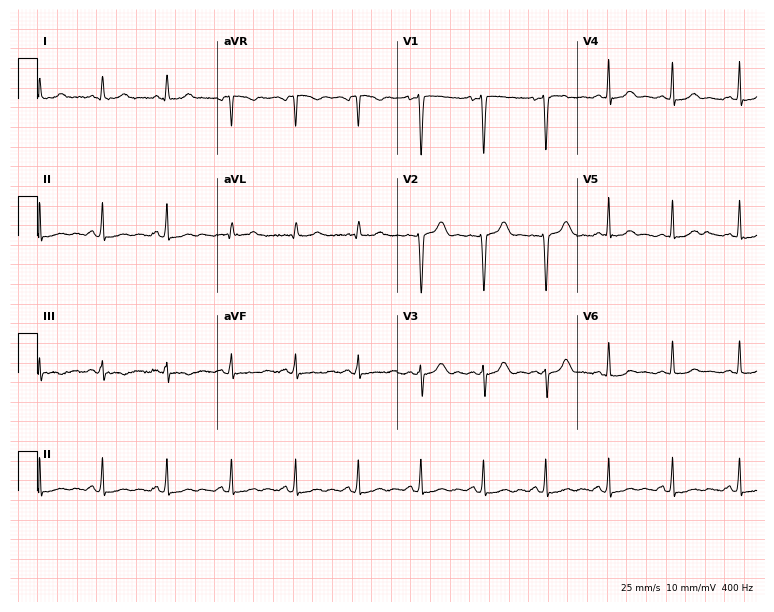
Electrocardiogram (7.3-second recording at 400 Hz), a 51-year-old female. Overall reading on record: normal ECG.